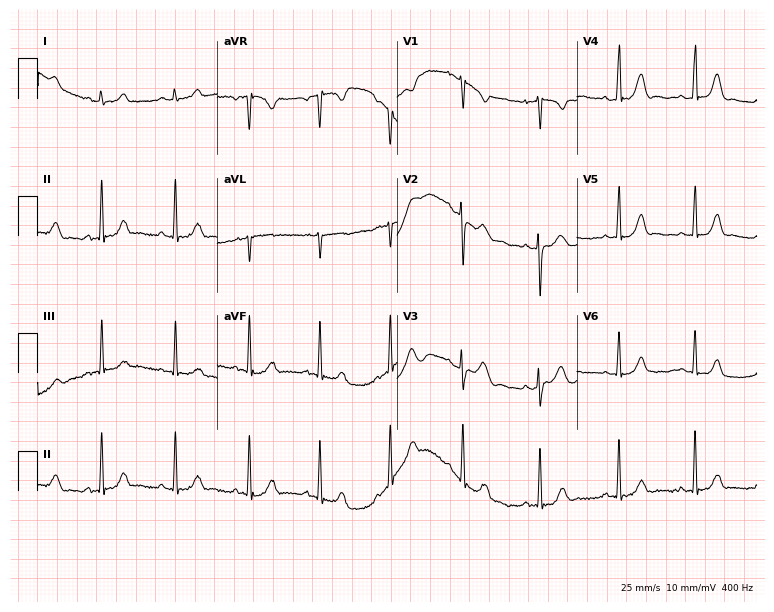
ECG (7.3-second recording at 400 Hz) — an 18-year-old female. Screened for six findings — first-degree AV block, right bundle branch block, left bundle branch block, sinus bradycardia, atrial fibrillation, sinus tachycardia — none is recorded. Only these six findings were labelled.